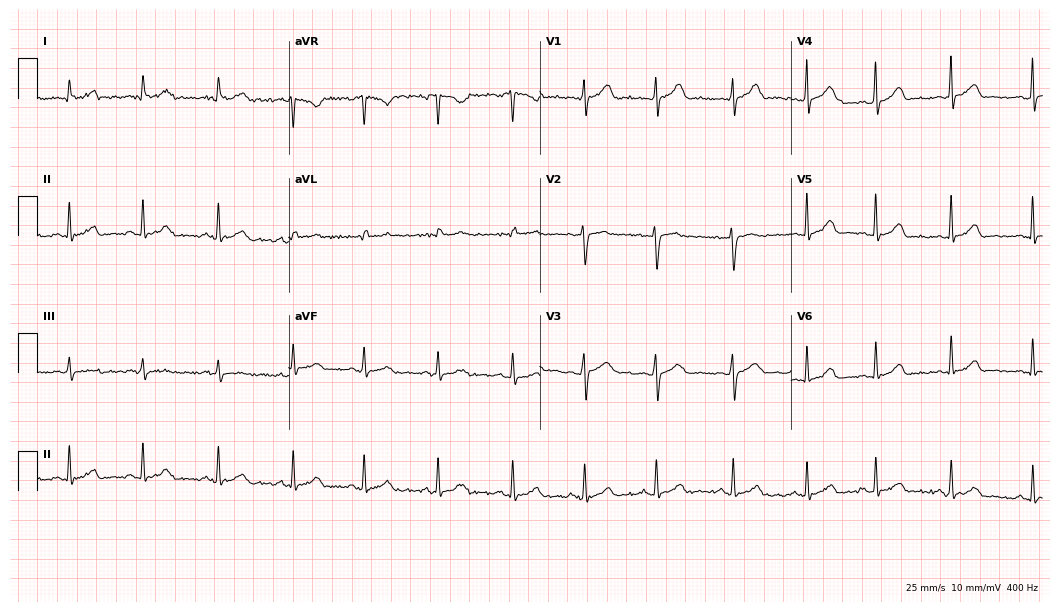
Standard 12-lead ECG recorded from a female patient, 34 years old. Read as a normal ECG.